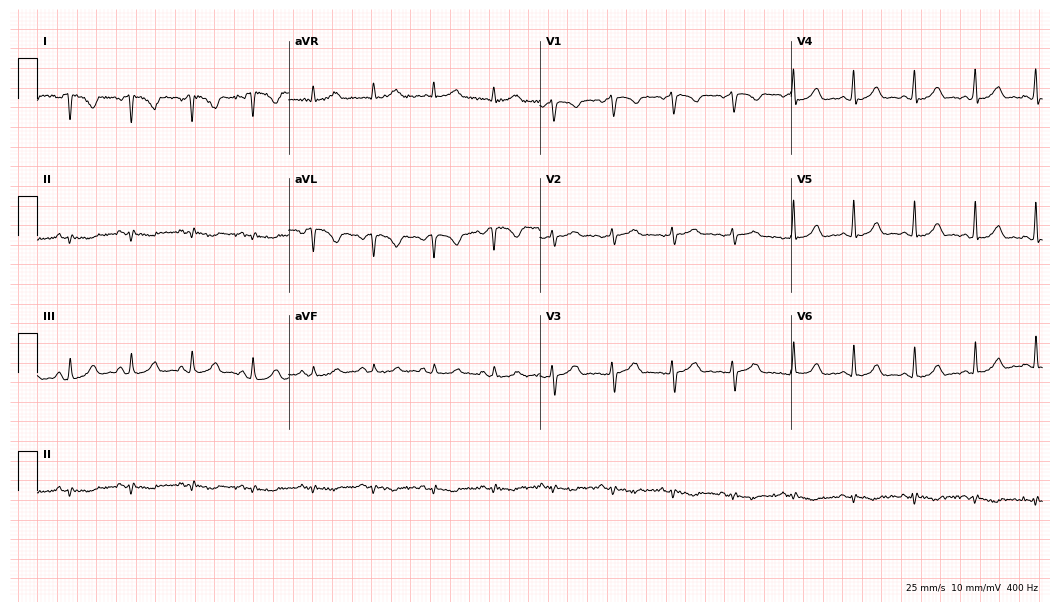
Electrocardiogram (10.2-second recording at 400 Hz), a female, 42 years old. Of the six screened findings (first-degree AV block, right bundle branch block (RBBB), left bundle branch block (LBBB), sinus bradycardia, atrial fibrillation (AF), sinus tachycardia), none is recorded.